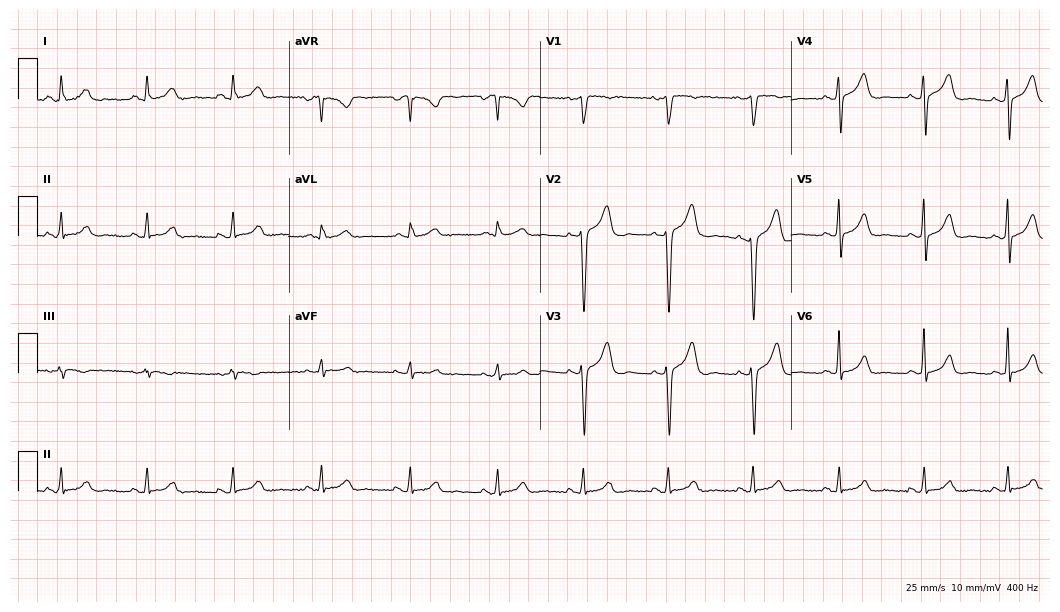
12-lead ECG (10.2-second recording at 400 Hz) from a 53-year-old male. Screened for six findings — first-degree AV block, right bundle branch block, left bundle branch block, sinus bradycardia, atrial fibrillation, sinus tachycardia — none is recorded.